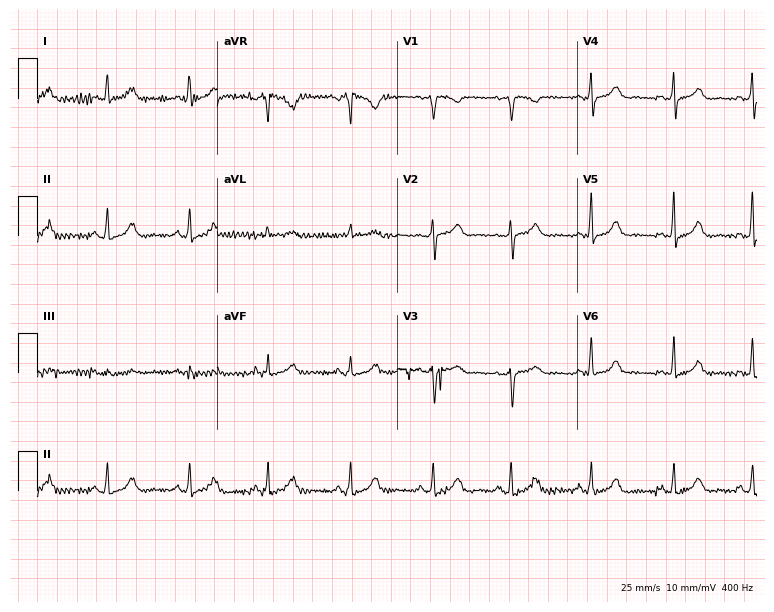
12-lead ECG from a female, 38 years old. Labelled as a normal ECG.